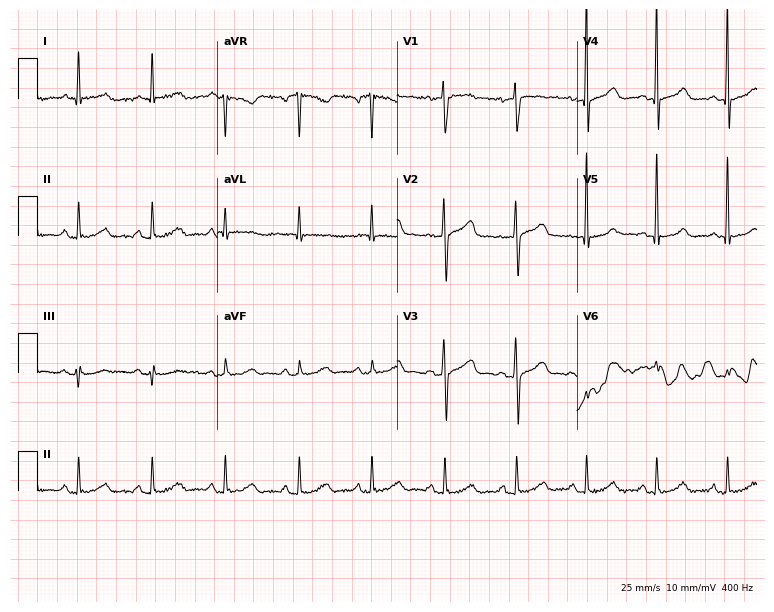
Resting 12-lead electrocardiogram (7.3-second recording at 400 Hz). Patient: a man, 61 years old. Read as a normal ECG.